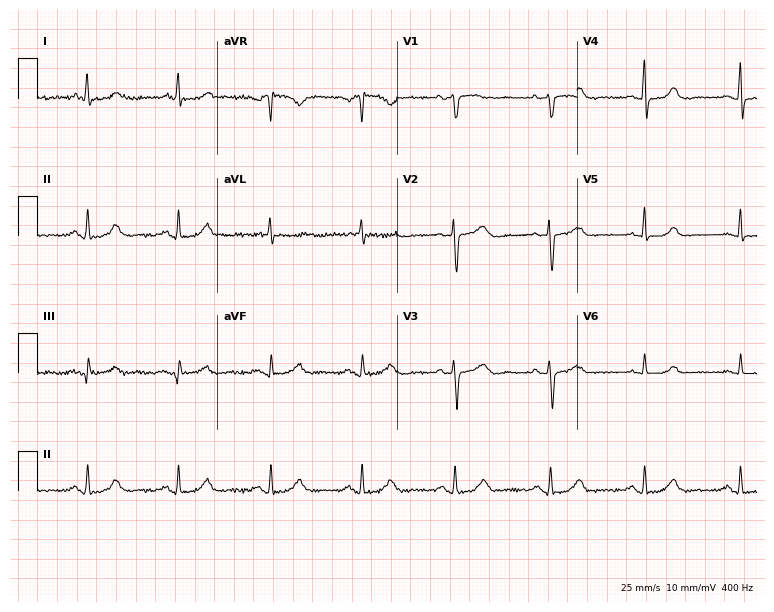
12-lead ECG from a 66-year-old female. Recorded interpretation: within normal limits.